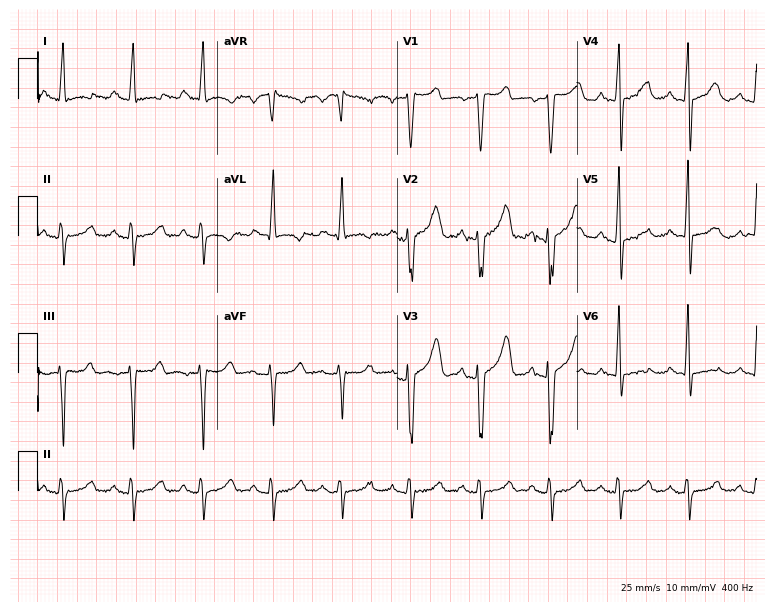
Electrocardiogram (7.3-second recording at 400 Hz), a female, 55 years old. Of the six screened findings (first-degree AV block, right bundle branch block (RBBB), left bundle branch block (LBBB), sinus bradycardia, atrial fibrillation (AF), sinus tachycardia), none is recorded.